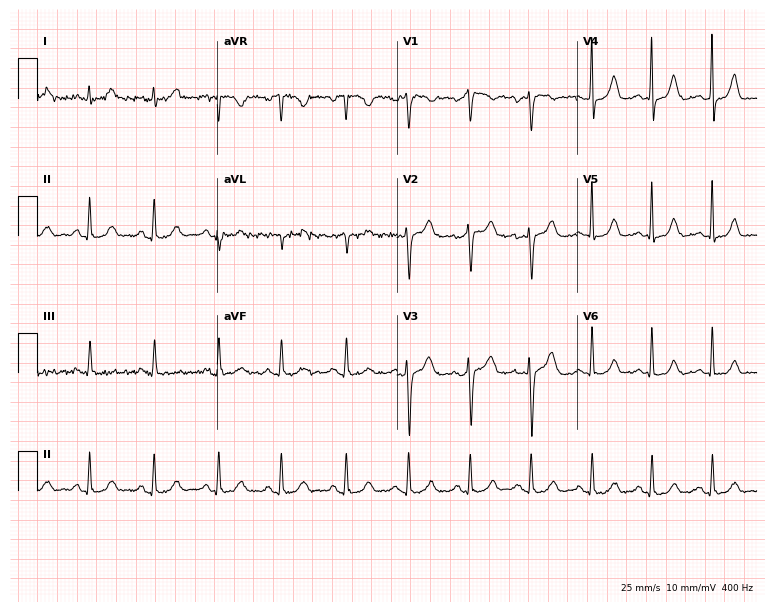
Resting 12-lead electrocardiogram (7.3-second recording at 400 Hz). Patient: a 31-year-old woman. Read as a normal ECG.